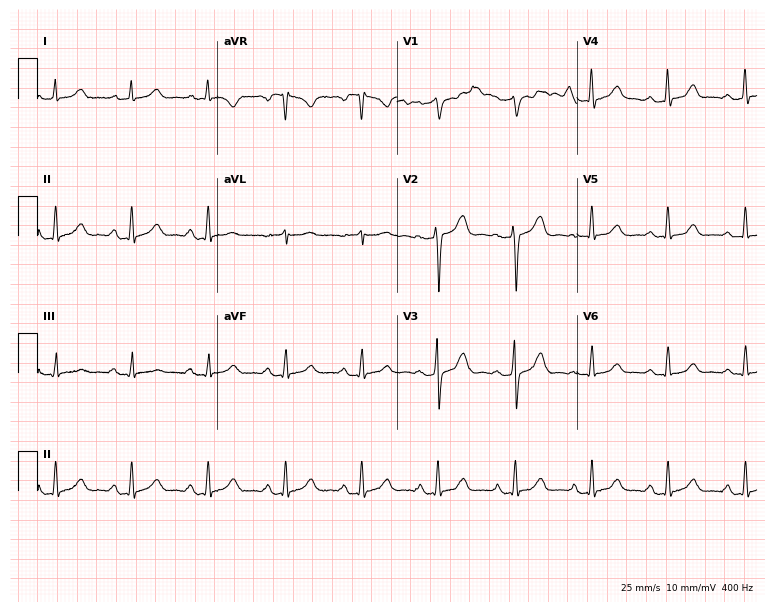
12-lead ECG from a woman, 52 years old. Screened for six findings — first-degree AV block, right bundle branch block (RBBB), left bundle branch block (LBBB), sinus bradycardia, atrial fibrillation (AF), sinus tachycardia — none is recorded.